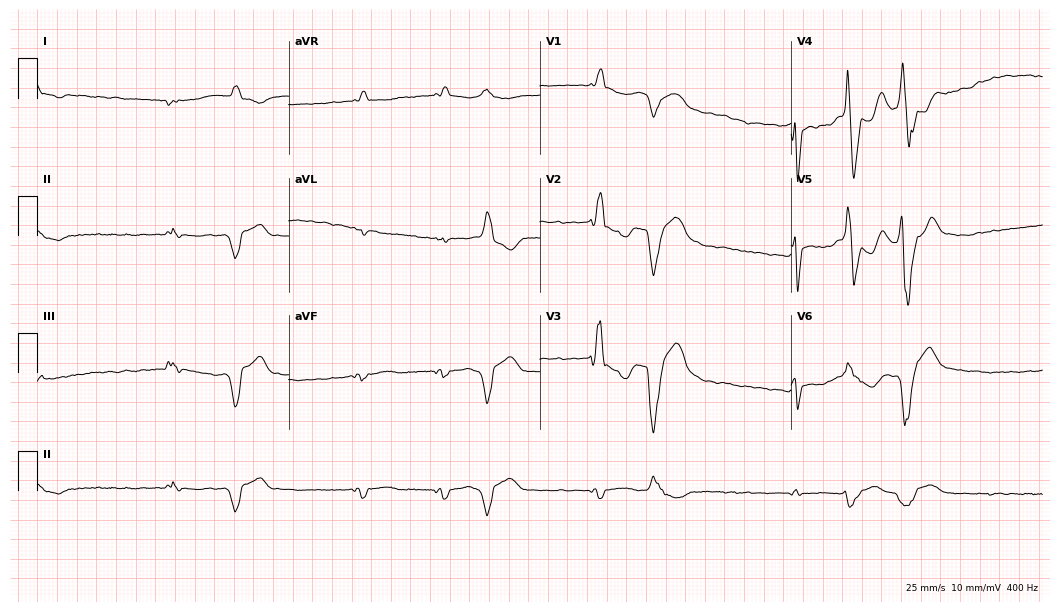
12-lead ECG from a 56-year-old man (10.2-second recording at 400 Hz). No first-degree AV block, right bundle branch block (RBBB), left bundle branch block (LBBB), sinus bradycardia, atrial fibrillation (AF) or sinus tachycardia recorded for this tracing.